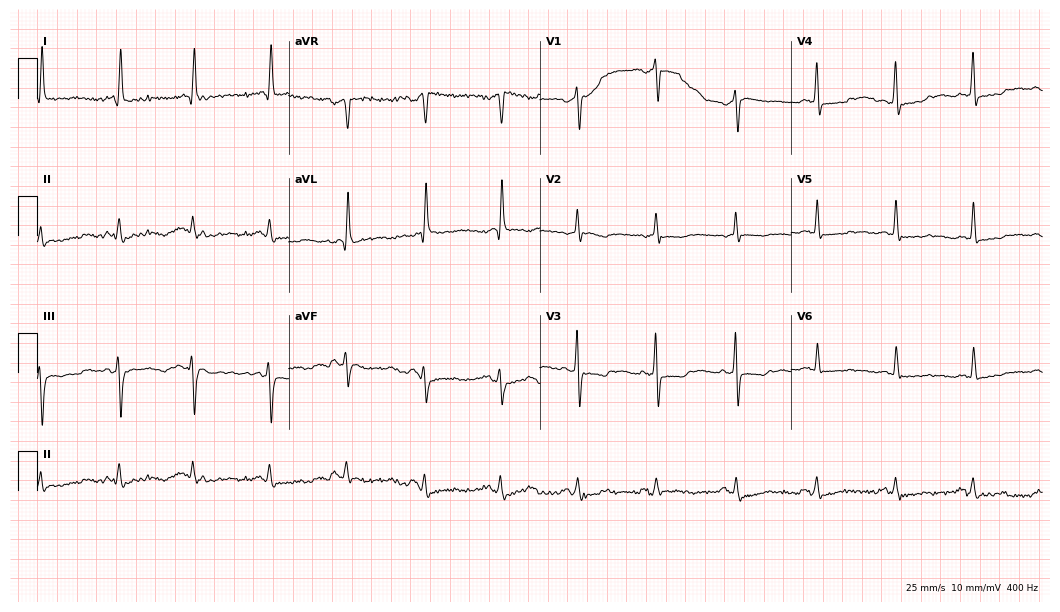
Standard 12-lead ECG recorded from a 76-year-old female. None of these six findings is recorded: first-degree AV block, right bundle branch block, left bundle branch block, sinus bradycardia, atrial fibrillation, sinus tachycardia.